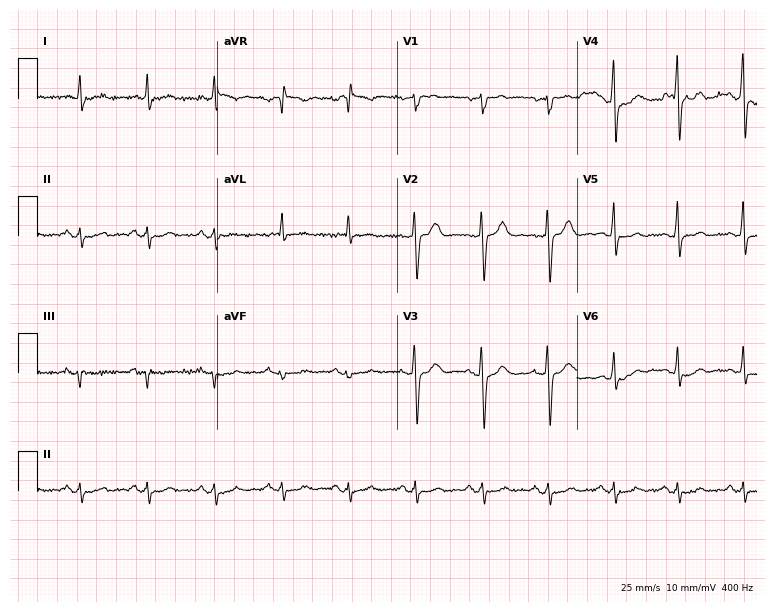
Resting 12-lead electrocardiogram (7.3-second recording at 400 Hz). Patient: a 59-year-old man. None of these six findings is recorded: first-degree AV block, right bundle branch block, left bundle branch block, sinus bradycardia, atrial fibrillation, sinus tachycardia. Other findings, if any, are not listed.